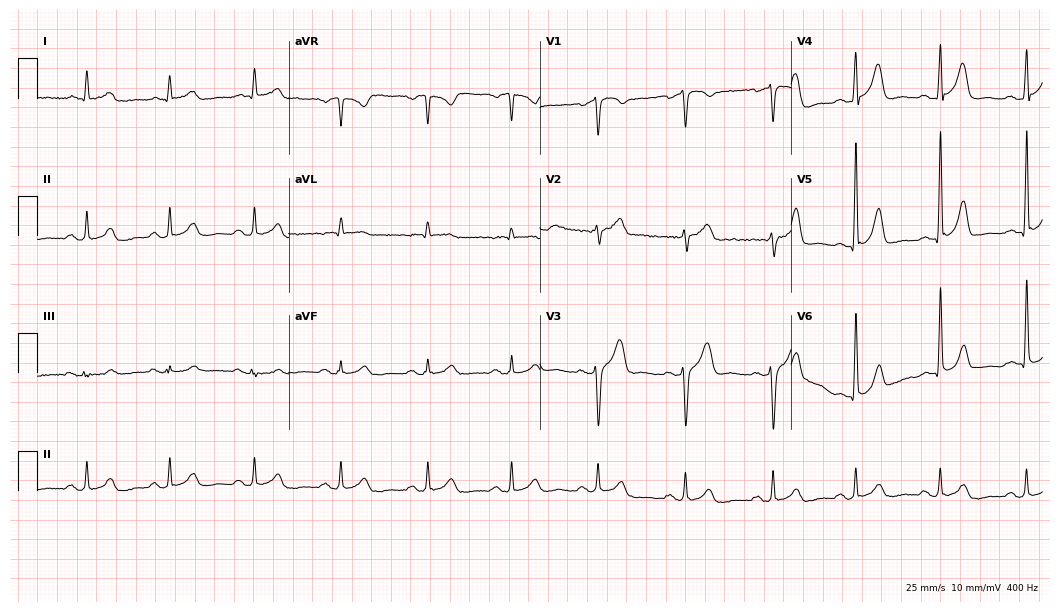
Resting 12-lead electrocardiogram. Patient: a 70-year-old male. Read as a normal ECG.